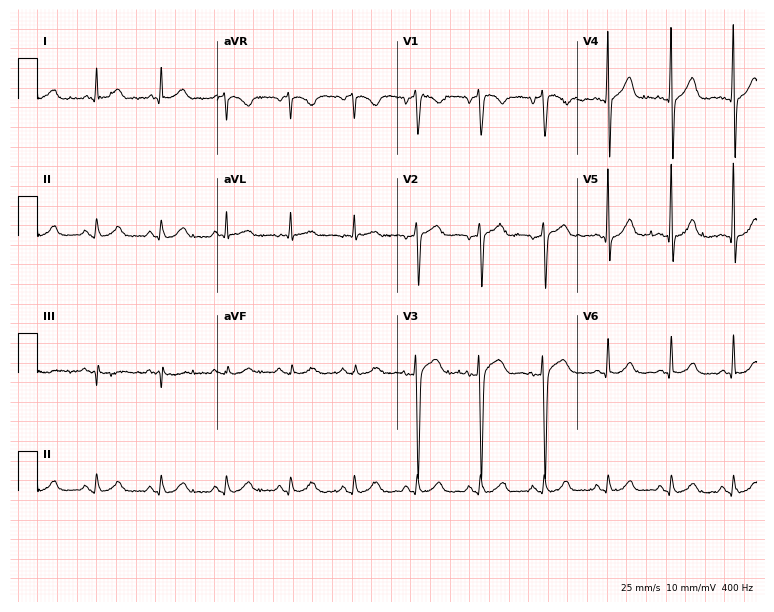
Electrocardiogram, a male, 59 years old. Overall reading on record: normal ECG.